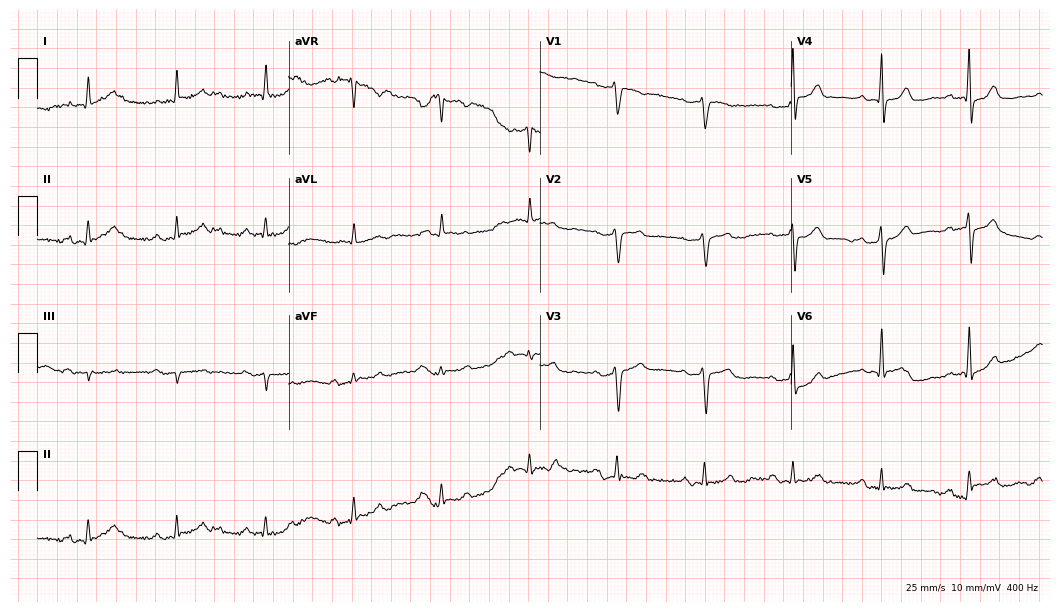
Standard 12-lead ECG recorded from a male, 74 years old (10.2-second recording at 400 Hz). None of these six findings is recorded: first-degree AV block, right bundle branch block (RBBB), left bundle branch block (LBBB), sinus bradycardia, atrial fibrillation (AF), sinus tachycardia.